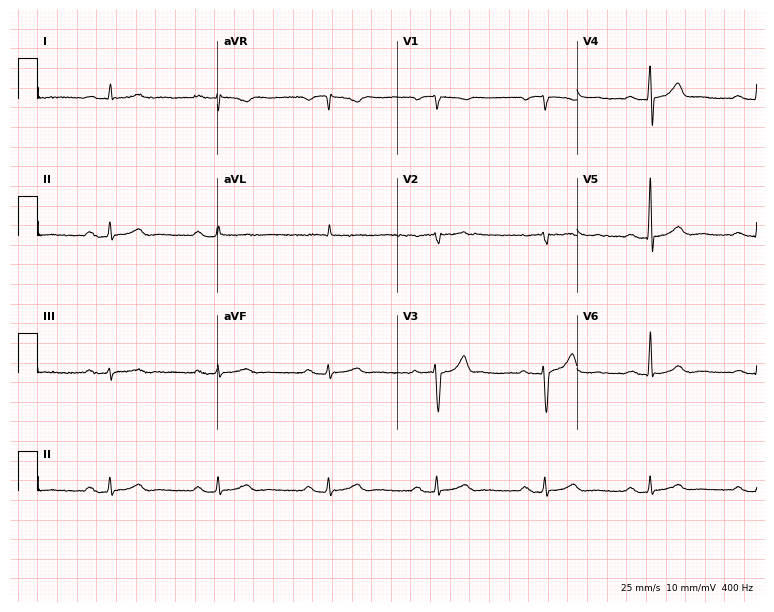
ECG — a male patient, 64 years old. Findings include first-degree AV block.